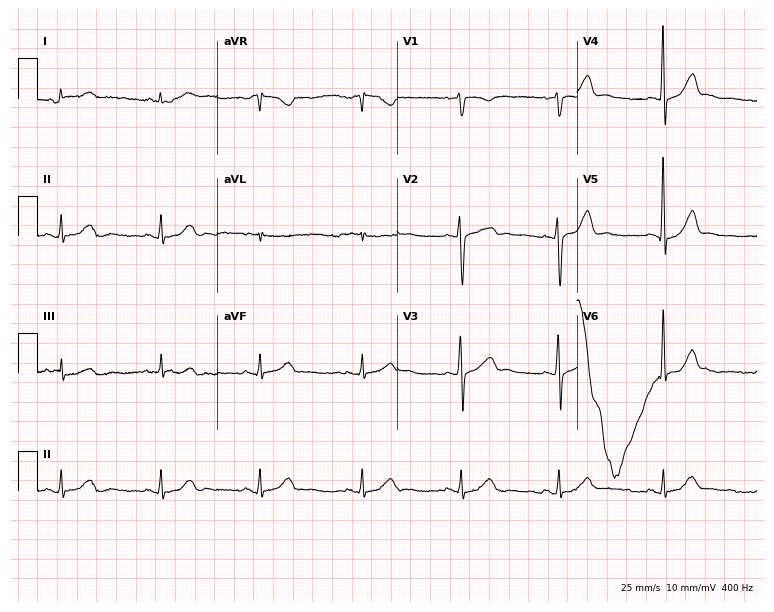
12-lead ECG (7.3-second recording at 400 Hz) from a 56-year-old male. Labelled as a normal ECG.